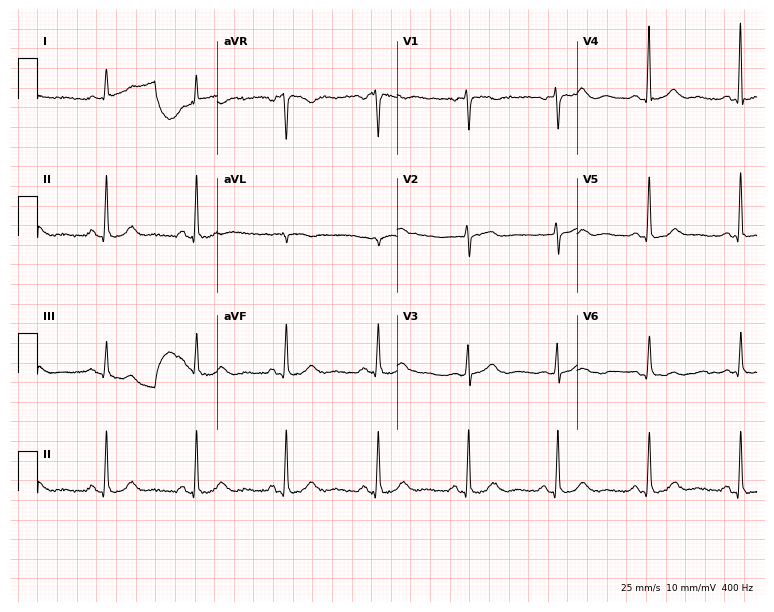
Electrocardiogram (7.3-second recording at 400 Hz), a female, 72 years old. Overall reading on record: normal ECG.